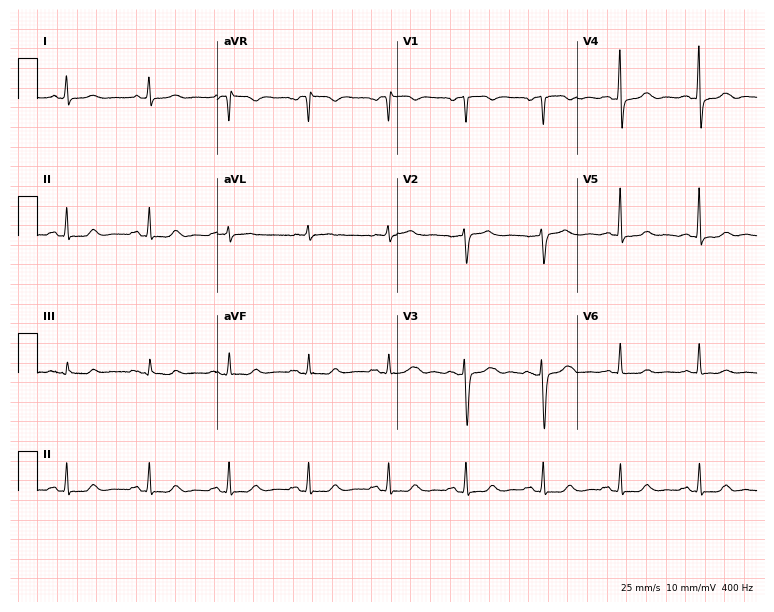
ECG — a female patient, 58 years old. Labelled as a normal ECG.